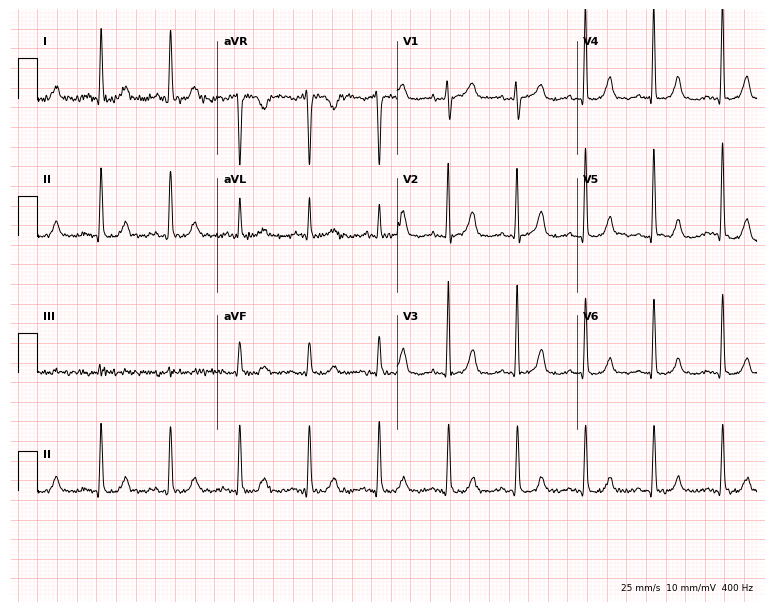
ECG (7.3-second recording at 400 Hz) — an 82-year-old woman. Labelled as a normal ECG.